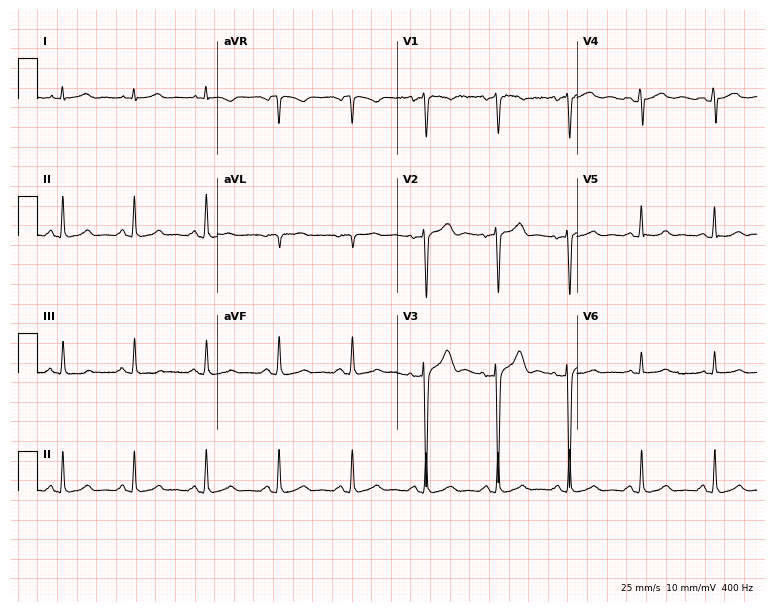
ECG — a male patient, 33 years old. Labelled as a normal ECG.